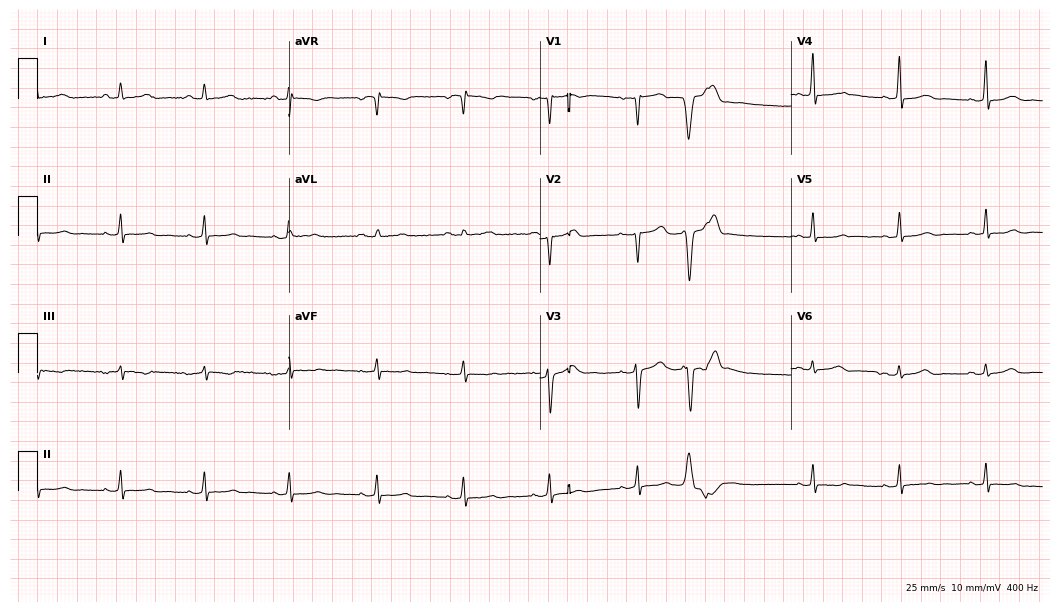
ECG (10.2-second recording at 400 Hz) — a 48-year-old woman. Screened for six findings — first-degree AV block, right bundle branch block, left bundle branch block, sinus bradycardia, atrial fibrillation, sinus tachycardia — none is recorded. Other findings, if any, are not listed.